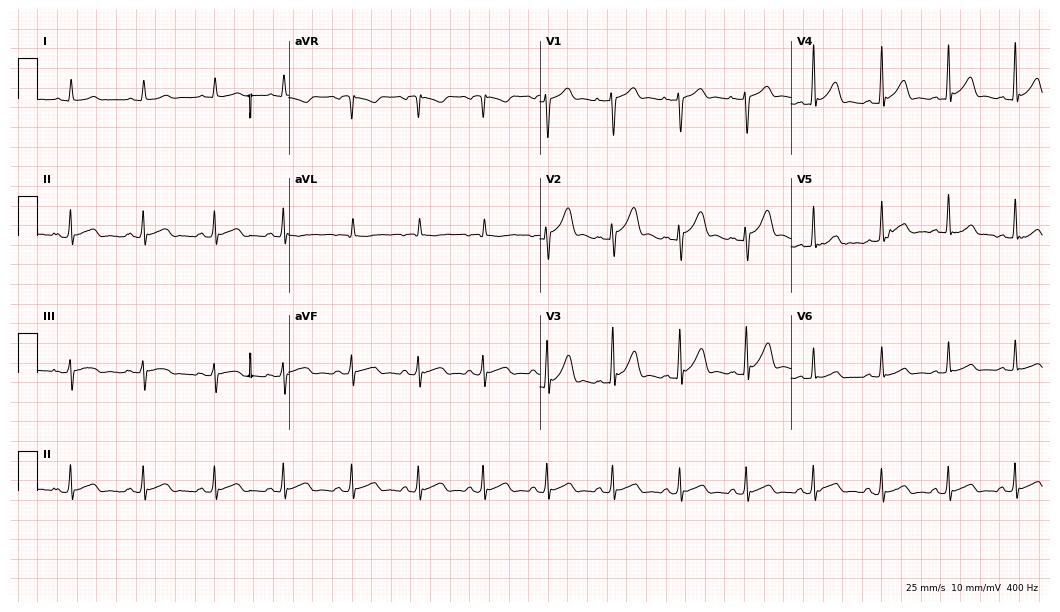
ECG — a 21-year-old man. Labelled as a normal ECG.